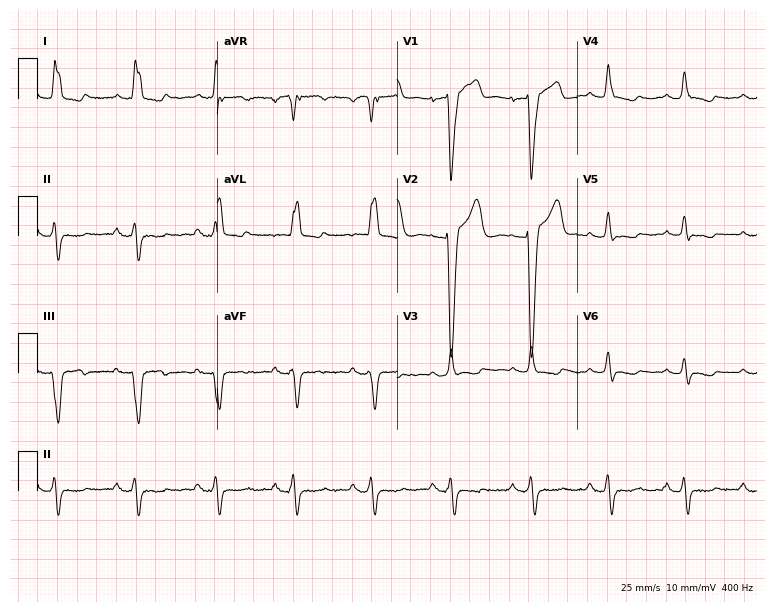
Electrocardiogram (7.3-second recording at 400 Hz), a woman, 50 years old. Interpretation includes left bundle branch block.